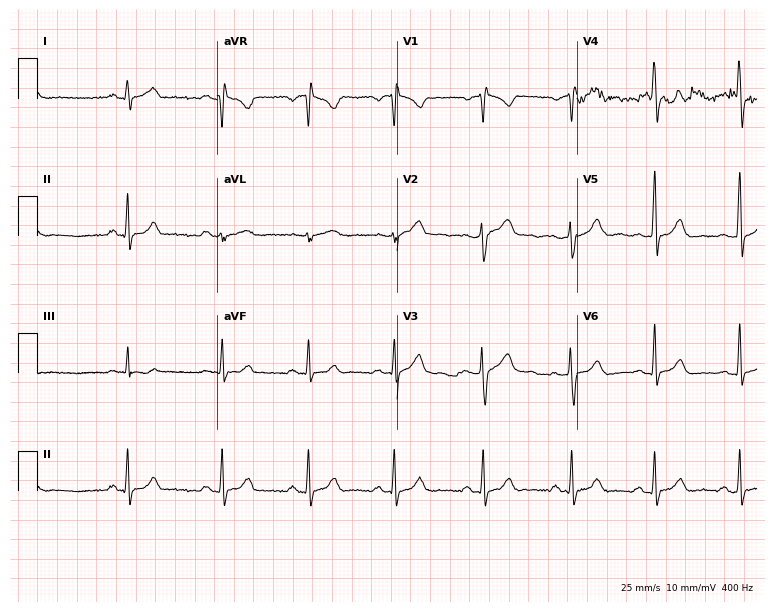
Standard 12-lead ECG recorded from a female, 27 years old (7.3-second recording at 400 Hz). Read as a normal ECG.